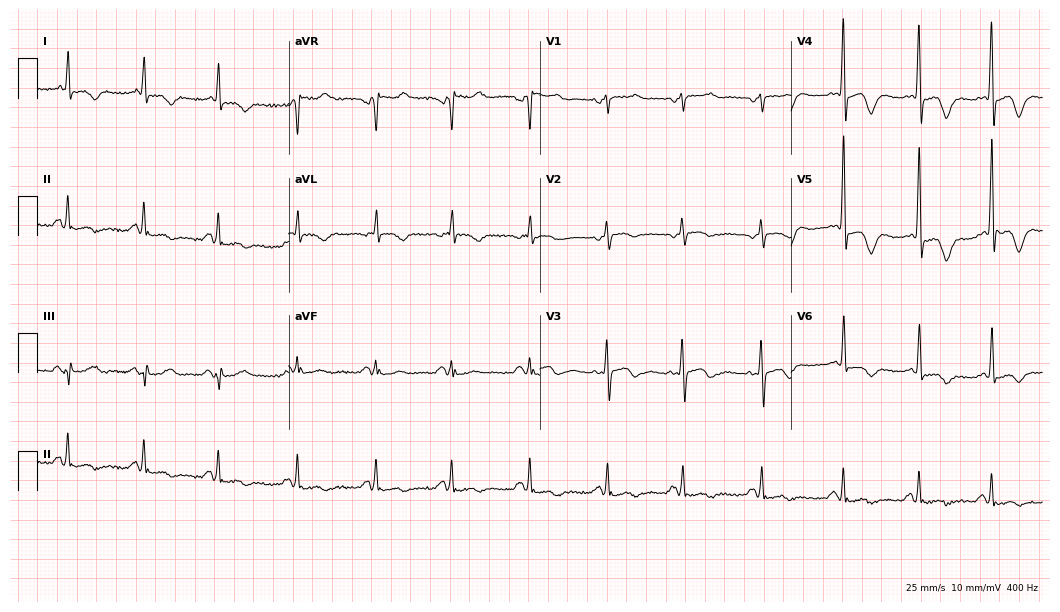
Standard 12-lead ECG recorded from a female patient, 66 years old (10.2-second recording at 400 Hz). None of these six findings is recorded: first-degree AV block, right bundle branch block (RBBB), left bundle branch block (LBBB), sinus bradycardia, atrial fibrillation (AF), sinus tachycardia.